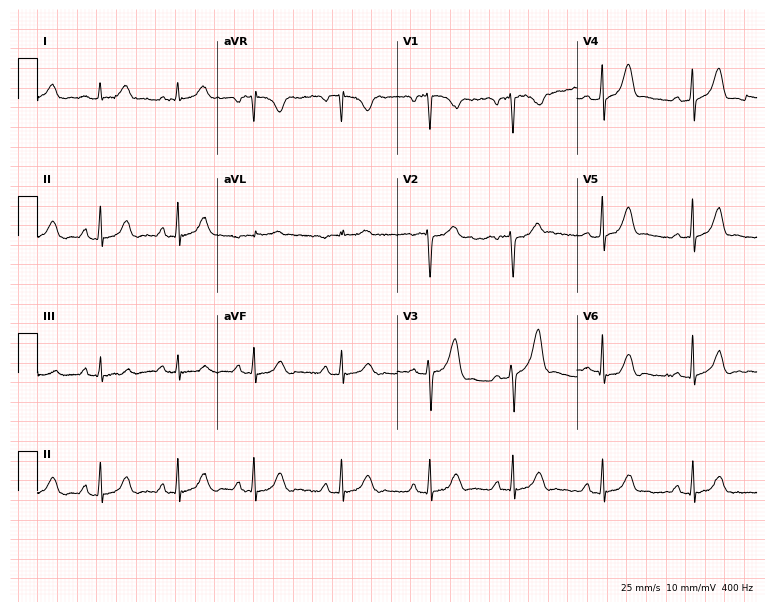
ECG — a 36-year-old female patient. Screened for six findings — first-degree AV block, right bundle branch block (RBBB), left bundle branch block (LBBB), sinus bradycardia, atrial fibrillation (AF), sinus tachycardia — none is recorded.